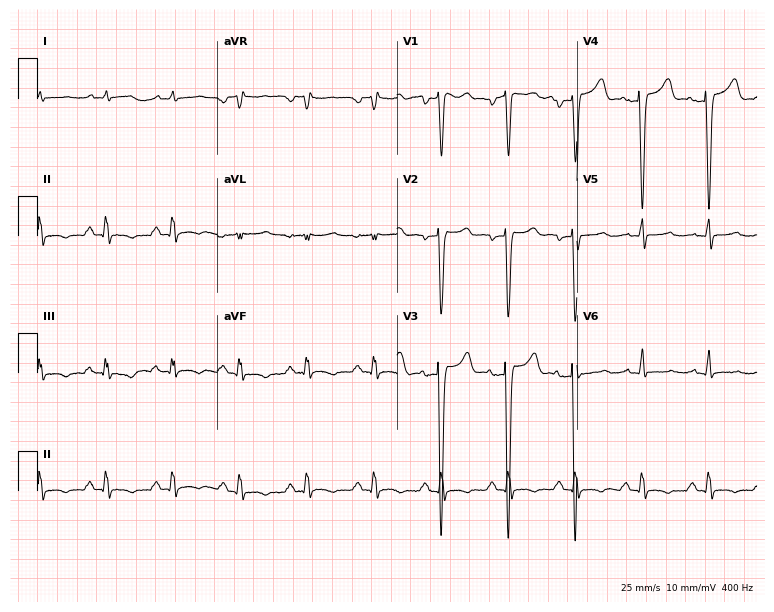
Resting 12-lead electrocardiogram. Patient: a male, 51 years old. None of these six findings is recorded: first-degree AV block, right bundle branch block, left bundle branch block, sinus bradycardia, atrial fibrillation, sinus tachycardia.